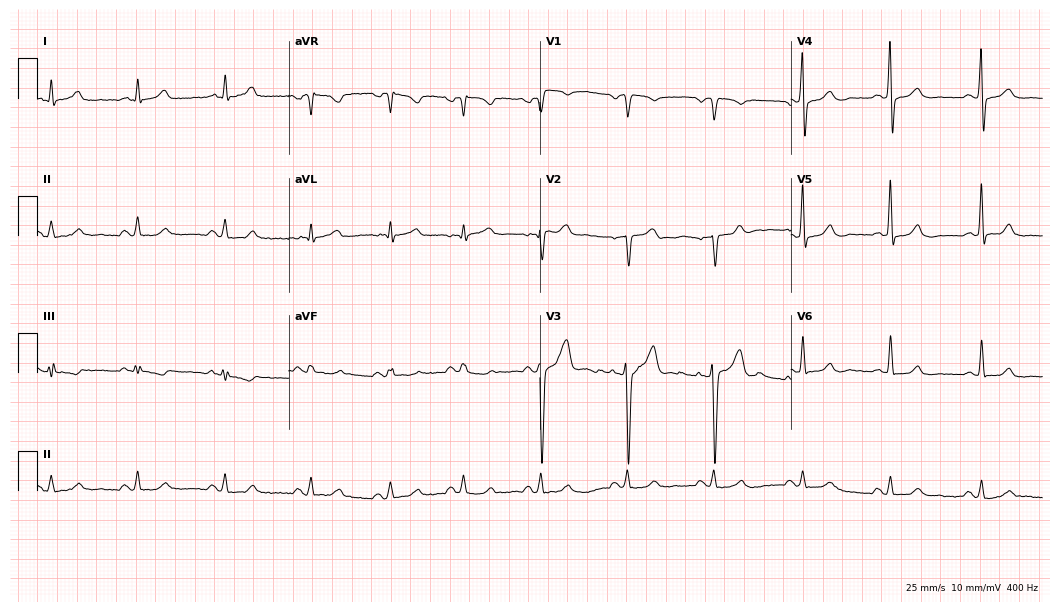
Standard 12-lead ECG recorded from a 52-year-old man. None of these six findings is recorded: first-degree AV block, right bundle branch block, left bundle branch block, sinus bradycardia, atrial fibrillation, sinus tachycardia.